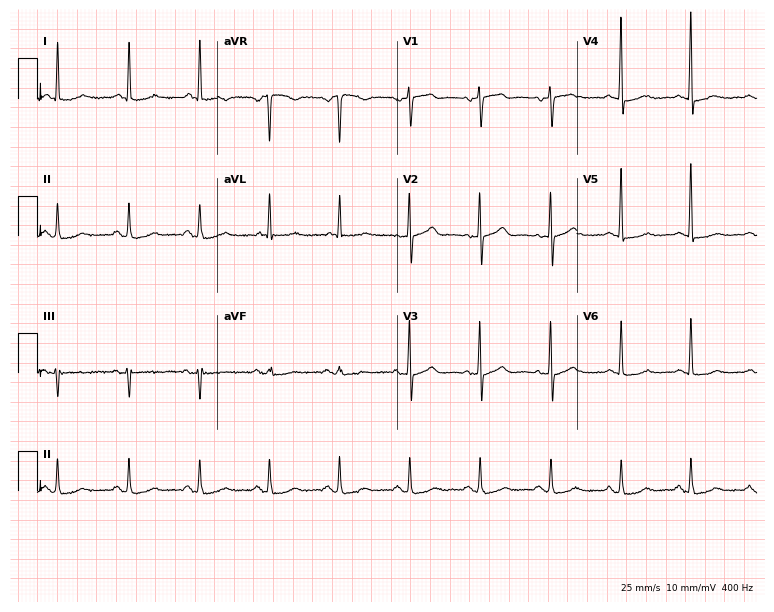
Resting 12-lead electrocardiogram. Patient: a female, 83 years old. Read as a normal ECG.